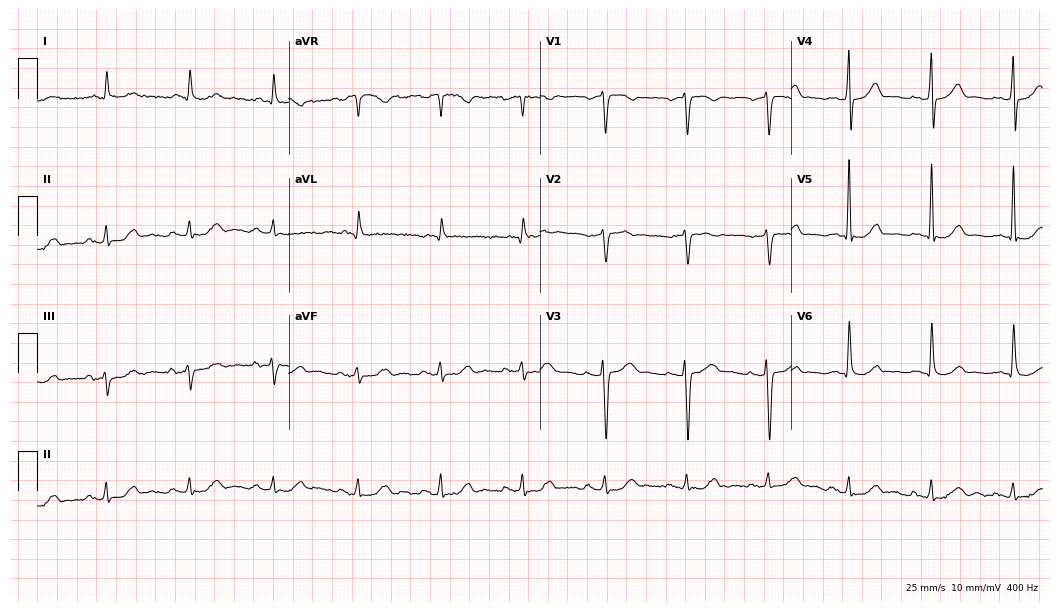
12-lead ECG from an 84-year-old male patient. Labelled as a normal ECG.